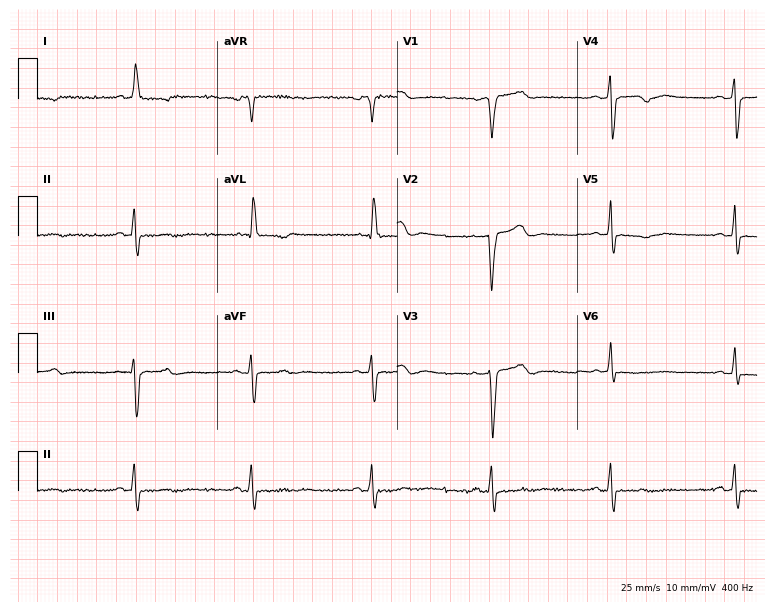
Resting 12-lead electrocardiogram. Patient: a woman, 57 years old. The tracing shows sinus bradycardia (a sinus rate of 50 beats per minute or less).